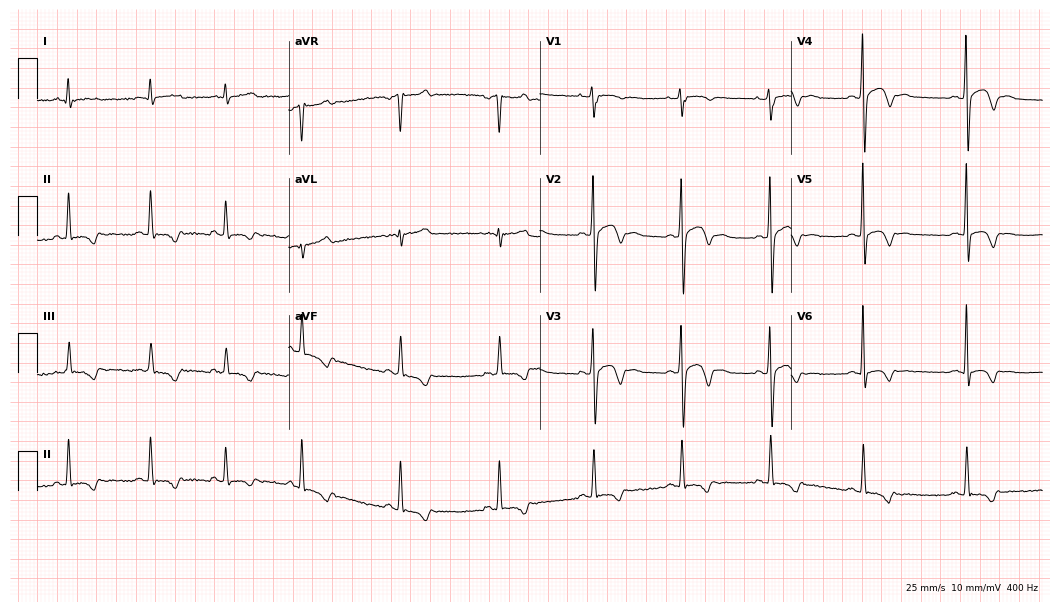
12-lead ECG from a male patient, 30 years old. No first-degree AV block, right bundle branch block (RBBB), left bundle branch block (LBBB), sinus bradycardia, atrial fibrillation (AF) or sinus tachycardia recorded for this tracing.